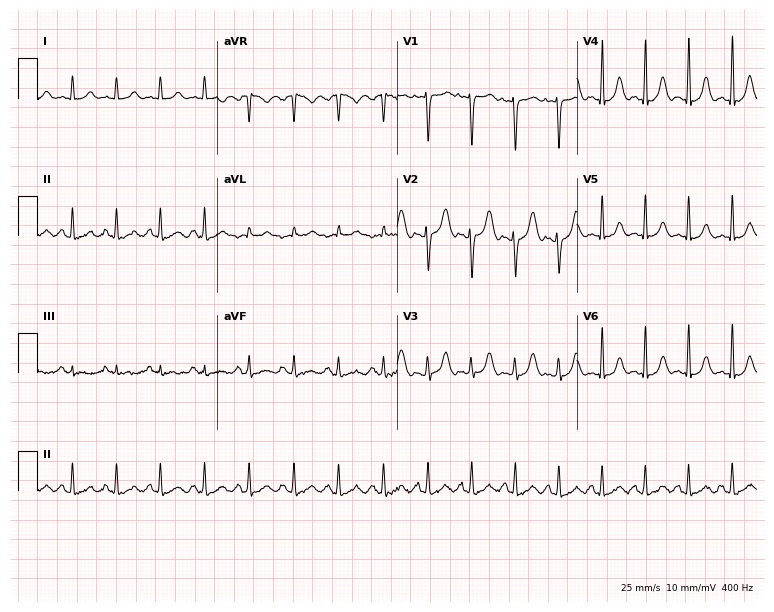
ECG — a woman, 23 years old. Findings include sinus tachycardia (a sinus rate of 100 beats per minute or more).